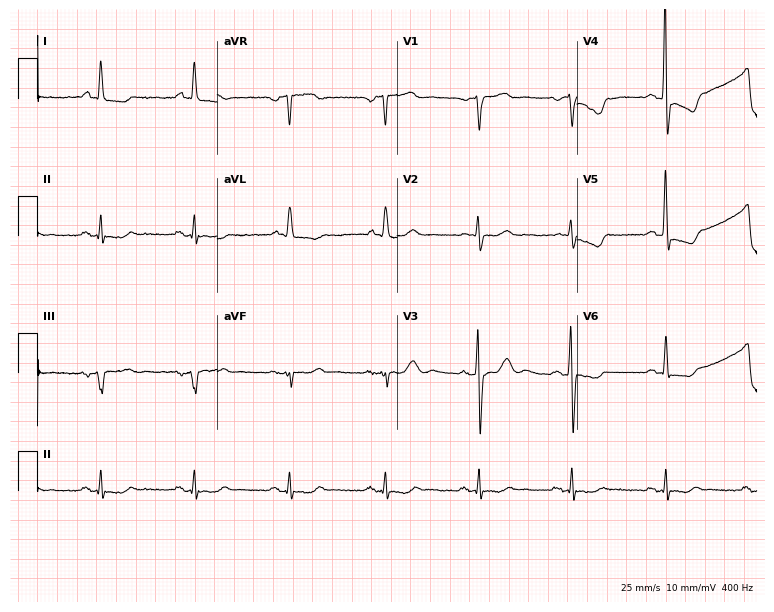
ECG (7.3-second recording at 400 Hz) — a male, 62 years old. Screened for six findings — first-degree AV block, right bundle branch block, left bundle branch block, sinus bradycardia, atrial fibrillation, sinus tachycardia — none is recorded.